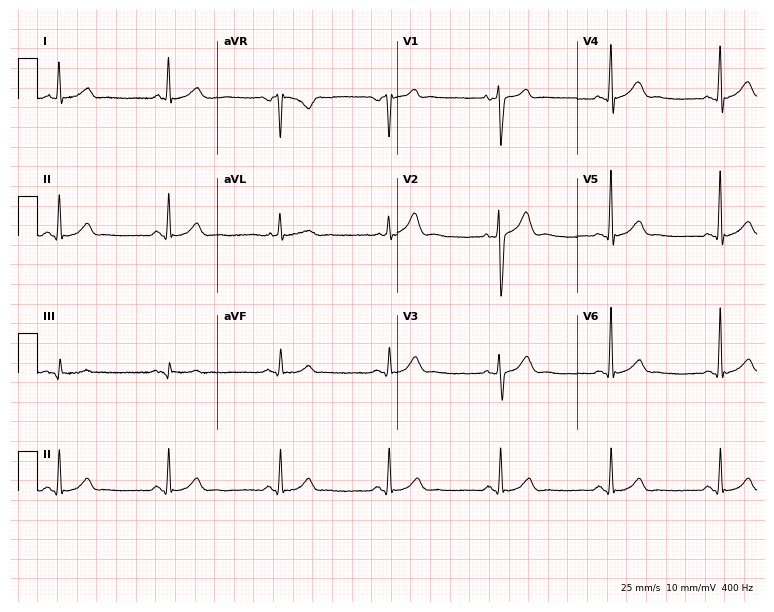
12-lead ECG (7.3-second recording at 400 Hz) from a 39-year-old man. Labelled as a normal ECG.